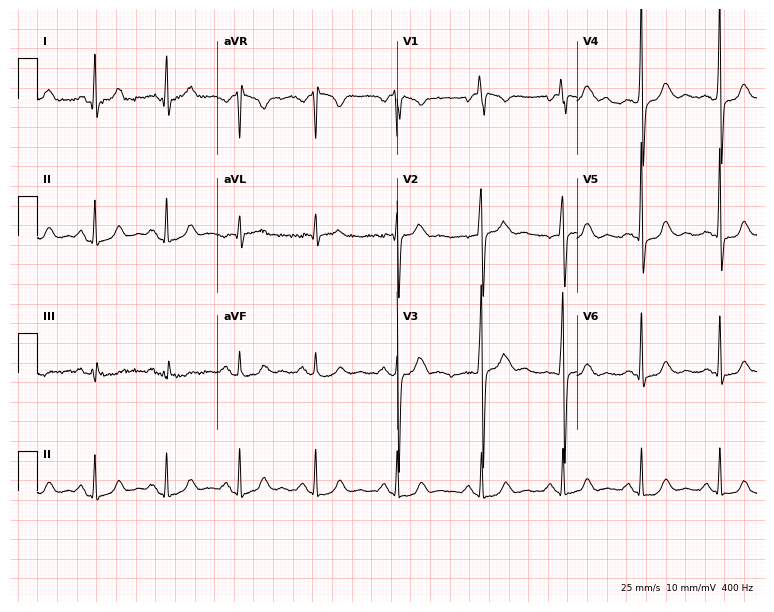
Electrocardiogram (7.3-second recording at 400 Hz), a male, 60 years old. Of the six screened findings (first-degree AV block, right bundle branch block, left bundle branch block, sinus bradycardia, atrial fibrillation, sinus tachycardia), none is recorded. Only these six findings were labelled.